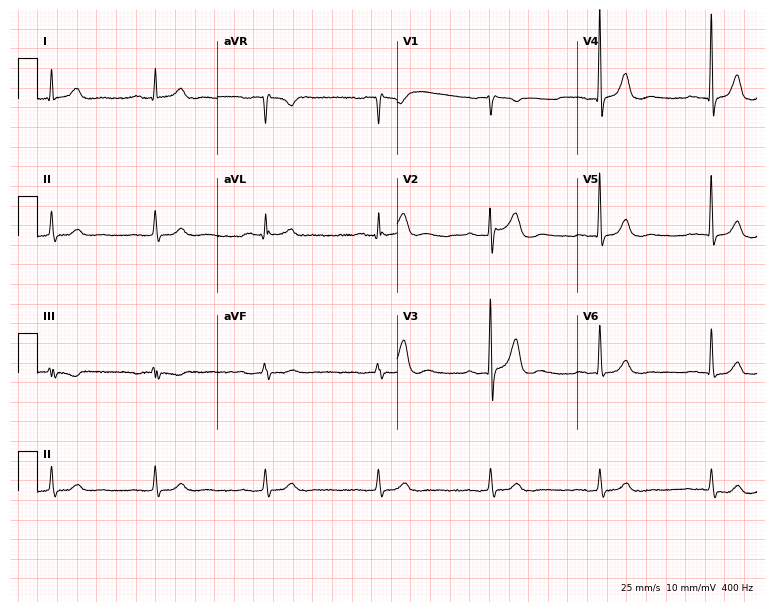
12-lead ECG (7.3-second recording at 400 Hz) from a 70-year-old male patient. Screened for six findings — first-degree AV block, right bundle branch block, left bundle branch block, sinus bradycardia, atrial fibrillation, sinus tachycardia — none is recorded.